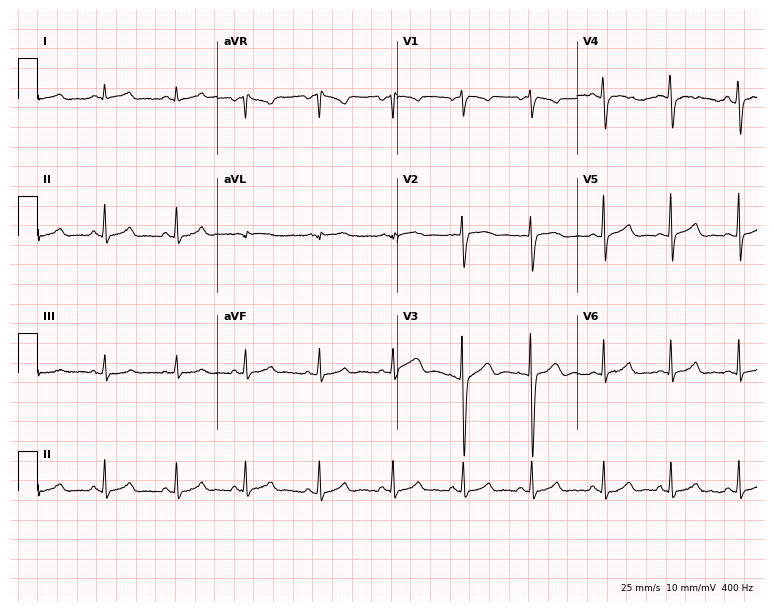
12-lead ECG from a female, 21 years old (7.3-second recording at 400 Hz). No first-degree AV block, right bundle branch block, left bundle branch block, sinus bradycardia, atrial fibrillation or sinus tachycardia recorded for this tracing.